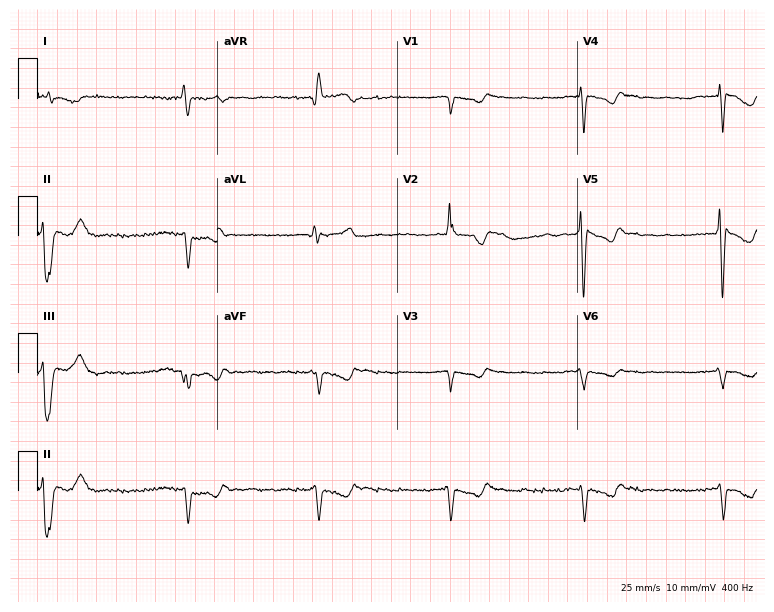
Electrocardiogram (7.3-second recording at 400 Hz), a male, 61 years old. Of the six screened findings (first-degree AV block, right bundle branch block (RBBB), left bundle branch block (LBBB), sinus bradycardia, atrial fibrillation (AF), sinus tachycardia), none is recorded. Other findings, if any, are not listed.